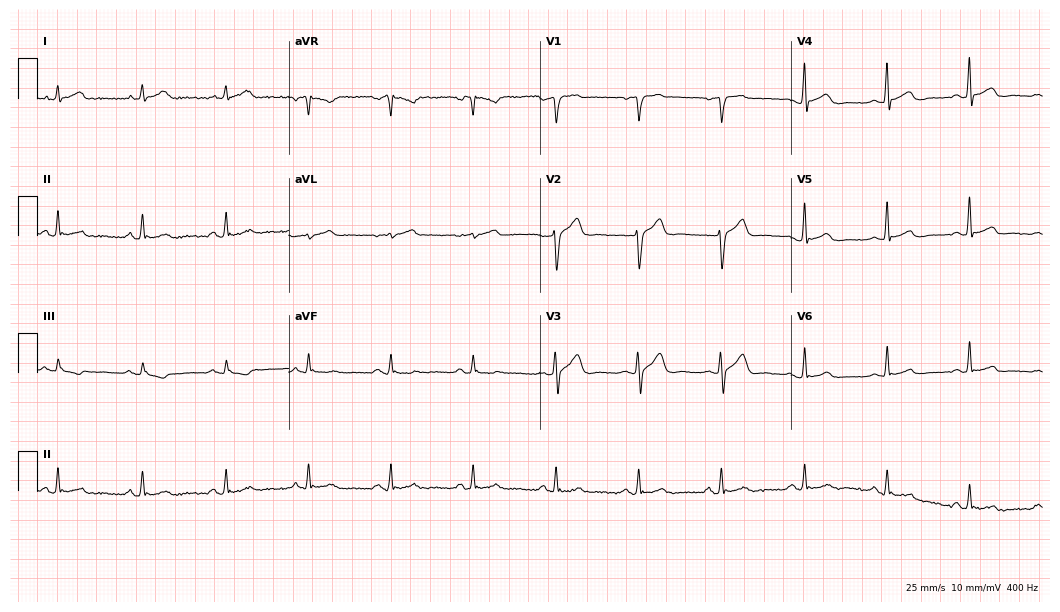
ECG — a 50-year-old male. Labelled as a normal ECG.